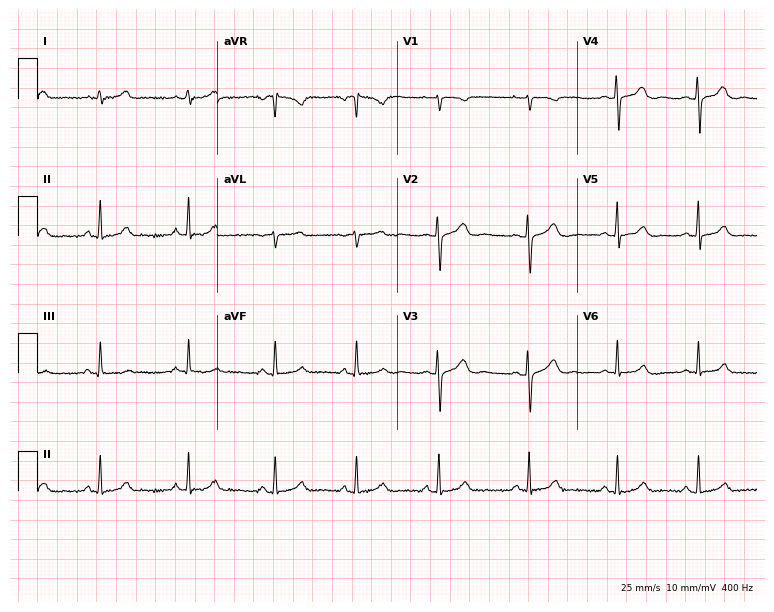
Electrocardiogram (7.3-second recording at 400 Hz), a 20-year-old woman. Overall reading on record: normal ECG.